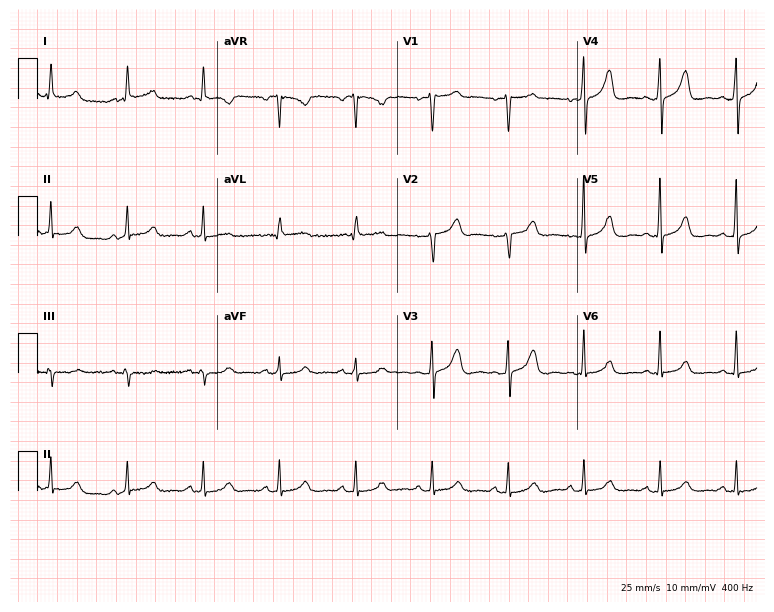
Electrocardiogram (7.3-second recording at 400 Hz), a 64-year-old woman. Overall reading on record: normal ECG.